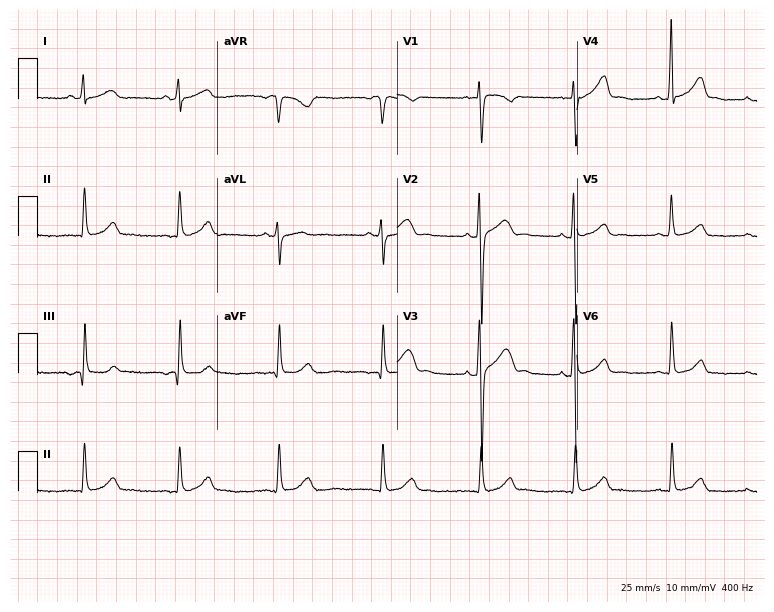
Resting 12-lead electrocardiogram (7.3-second recording at 400 Hz). Patient: a 26-year-old male. Read as a normal ECG.